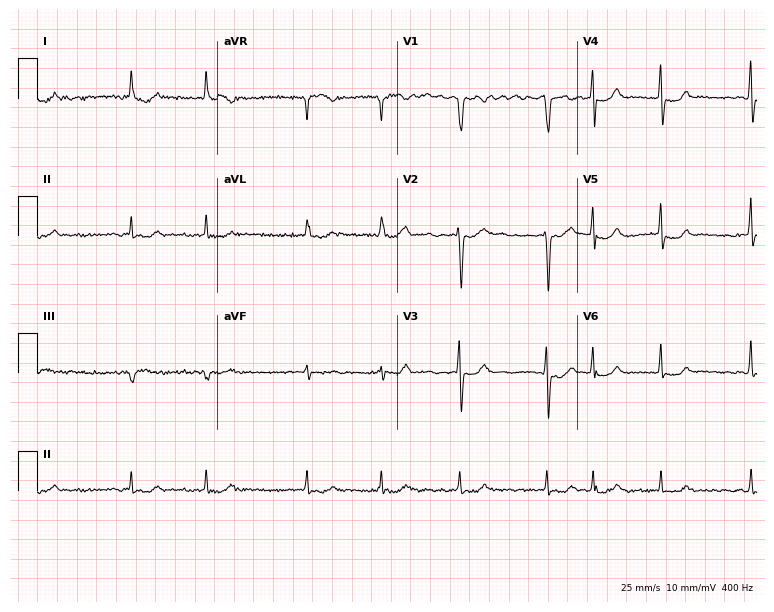
Standard 12-lead ECG recorded from a male patient, 67 years old. The tracing shows atrial fibrillation.